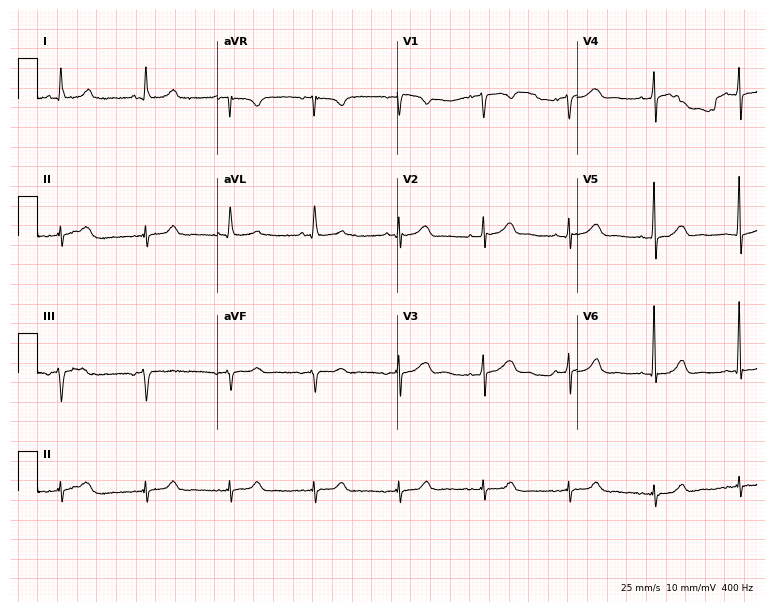
Electrocardiogram (7.3-second recording at 400 Hz), a female patient, 63 years old. Overall reading on record: normal ECG.